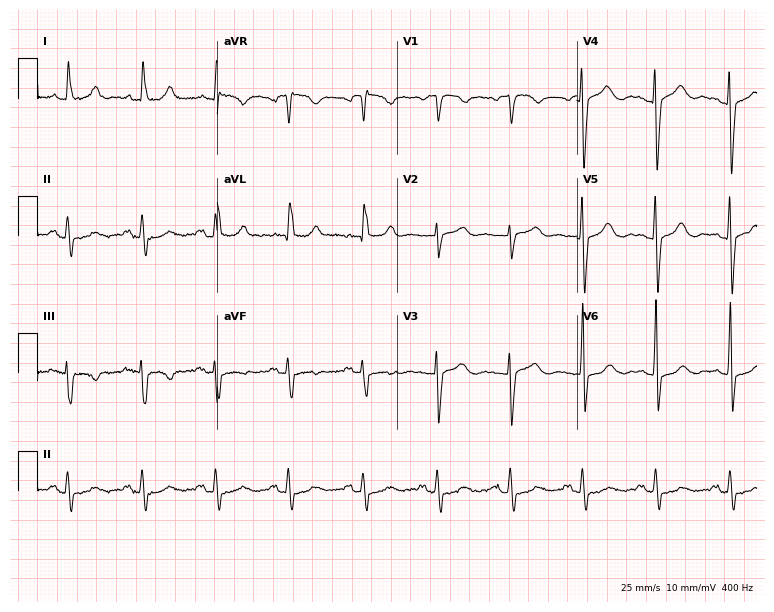
12-lead ECG from a 79-year-old female. No first-degree AV block, right bundle branch block (RBBB), left bundle branch block (LBBB), sinus bradycardia, atrial fibrillation (AF) or sinus tachycardia recorded for this tracing. Findings outside these six are not listed.